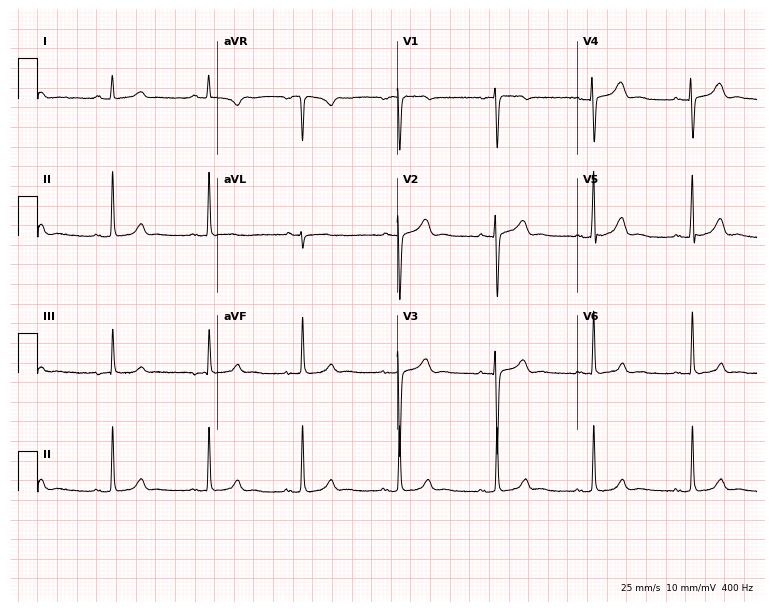
Electrocardiogram (7.3-second recording at 400 Hz), a 38-year-old female. Overall reading on record: normal ECG.